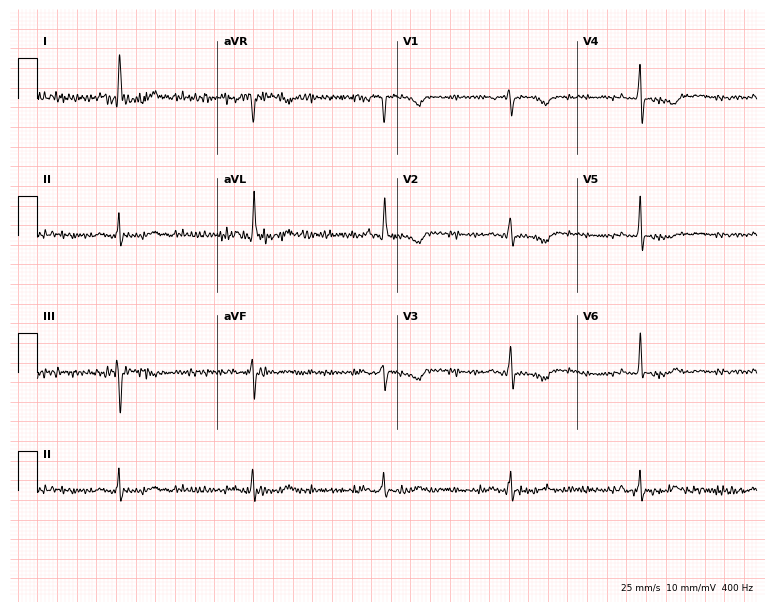
12-lead ECG (7.3-second recording at 400 Hz) from a woman, 68 years old. Screened for six findings — first-degree AV block, right bundle branch block, left bundle branch block, sinus bradycardia, atrial fibrillation, sinus tachycardia — none is recorded. Other findings, if any, are not listed.